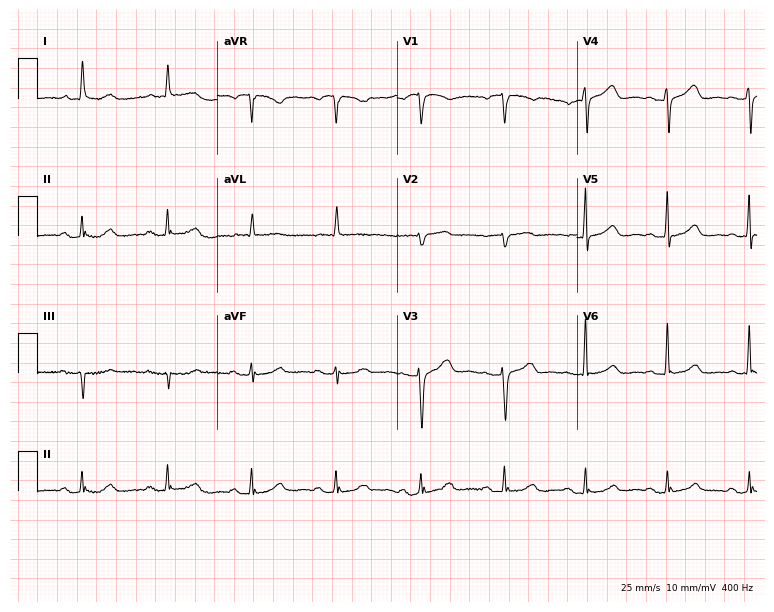
12-lead ECG from a female, 74 years old. Recorded interpretation: within normal limits.